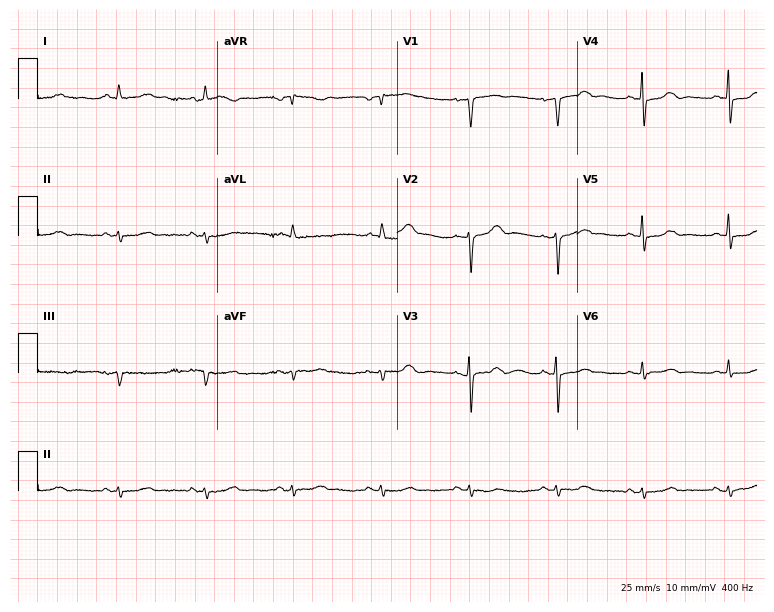
Standard 12-lead ECG recorded from a female patient, 81 years old (7.3-second recording at 400 Hz). None of these six findings is recorded: first-degree AV block, right bundle branch block, left bundle branch block, sinus bradycardia, atrial fibrillation, sinus tachycardia. Only these six findings were labelled.